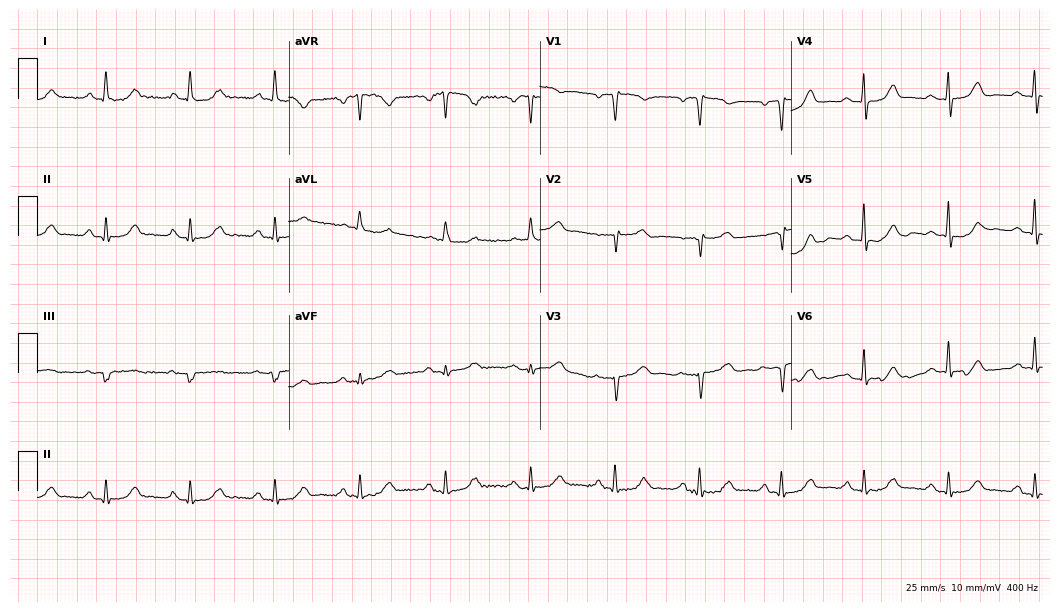
Resting 12-lead electrocardiogram (10.2-second recording at 400 Hz). Patient: a female, 78 years old. None of these six findings is recorded: first-degree AV block, right bundle branch block, left bundle branch block, sinus bradycardia, atrial fibrillation, sinus tachycardia. Other findings, if any, are not listed.